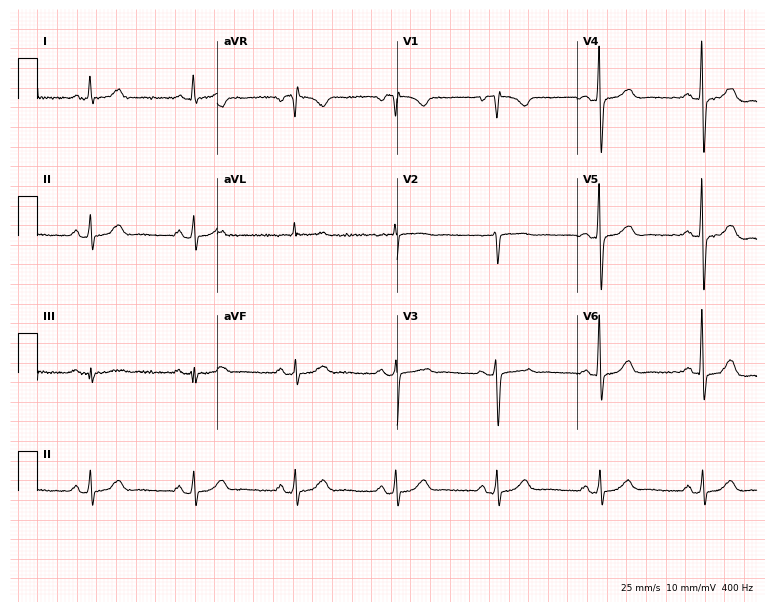
Resting 12-lead electrocardiogram (7.3-second recording at 400 Hz). Patient: a 70-year-old female. Read as a normal ECG.